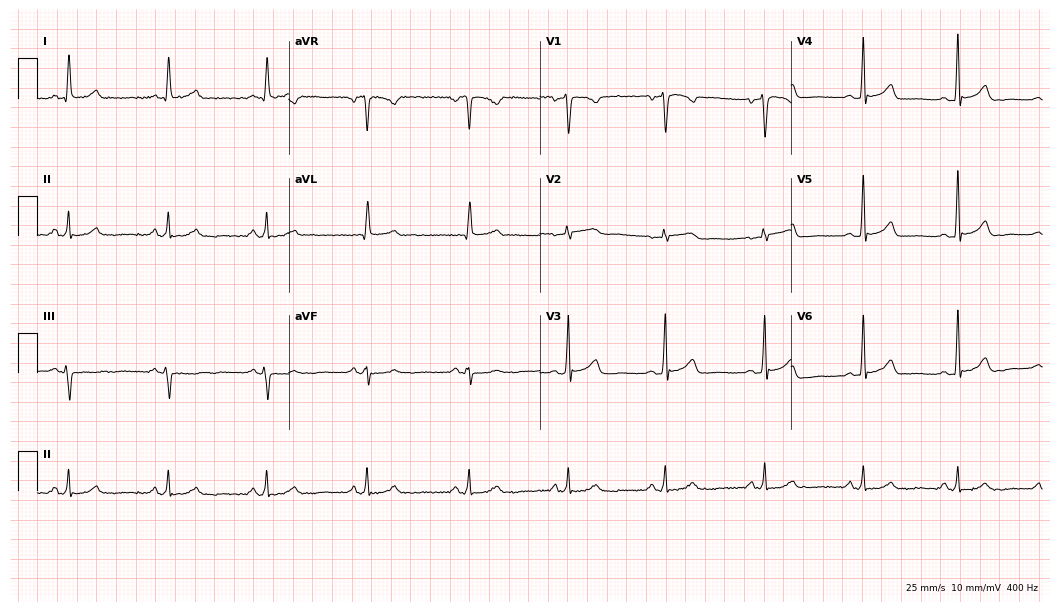
ECG — a 61-year-old woman. Labelled as a normal ECG.